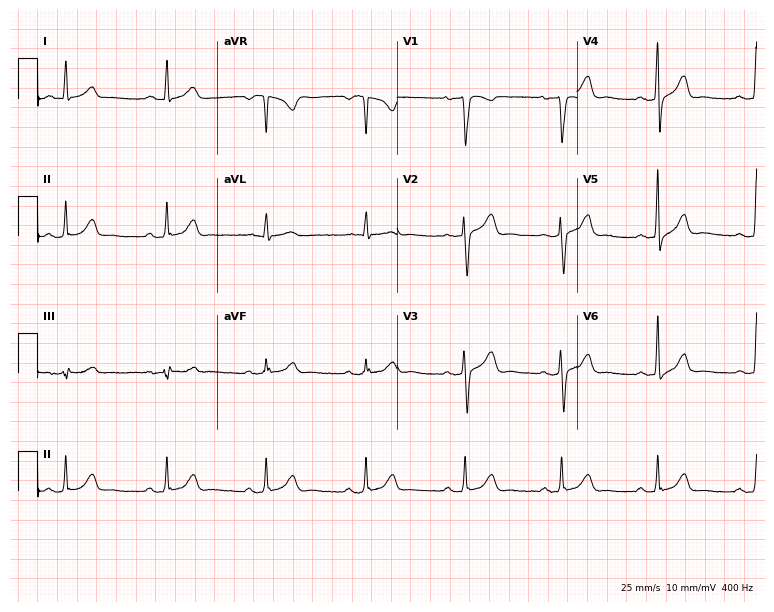
Resting 12-lead electrocardiogram. Patient: a 58-year-old man. Read as a normal ECG.